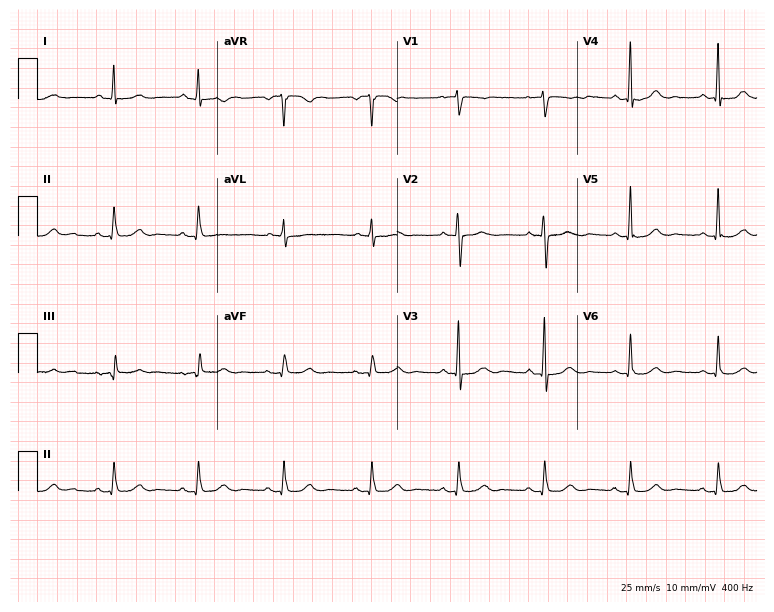
ECG — a 79-year-old female. Labelled as a normal ECG.